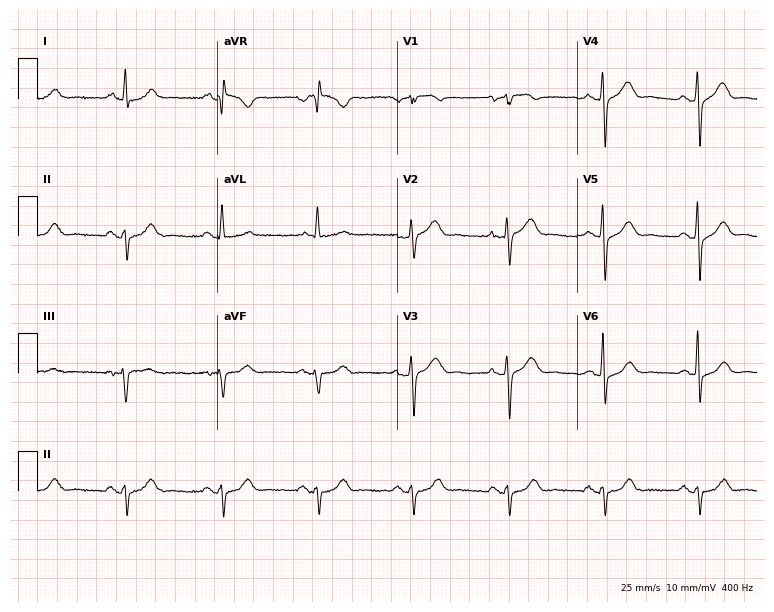
Standard 12-lead ECG recorded from a 55-year-old male patient (7.3-second recording at 400 Hz). None of these six findings is recorded: first-degree AV block, right bundle branch block, left bundle branch block, sinus bradycardia, atrial fibrillation, sinus tachycardia. Other findings, if any, are not listed.